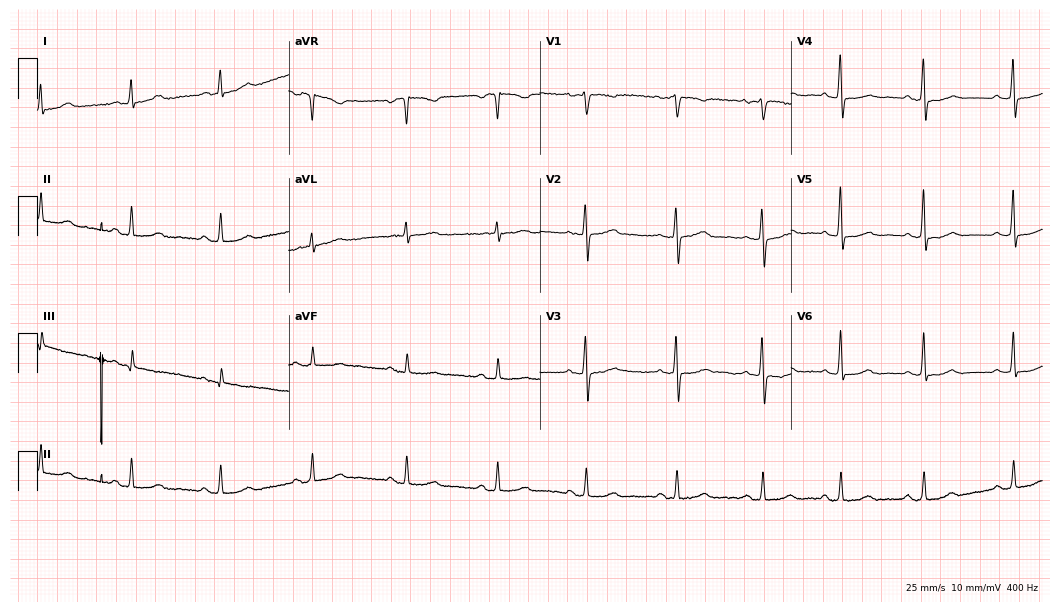
Electrocardiogram, a woman, 55 years old. Overall reading on record: normal ECG.